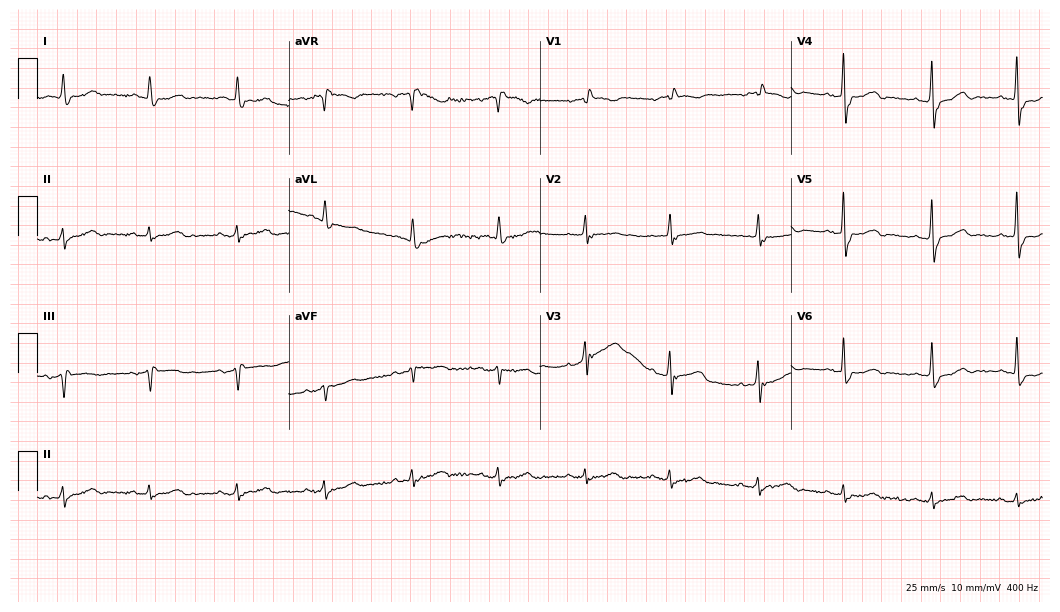
Resting 12-lead electrocardiogram (10.2-second recording at 400 Hz). Patient: a female, 83 years old. None of these six findings is recorded: first-degree AV block, right bundle branch block, left bundle branch block, sinus bradycardia, atrial fibrillation, sinus tachycardia. Only these six findings were labelled.